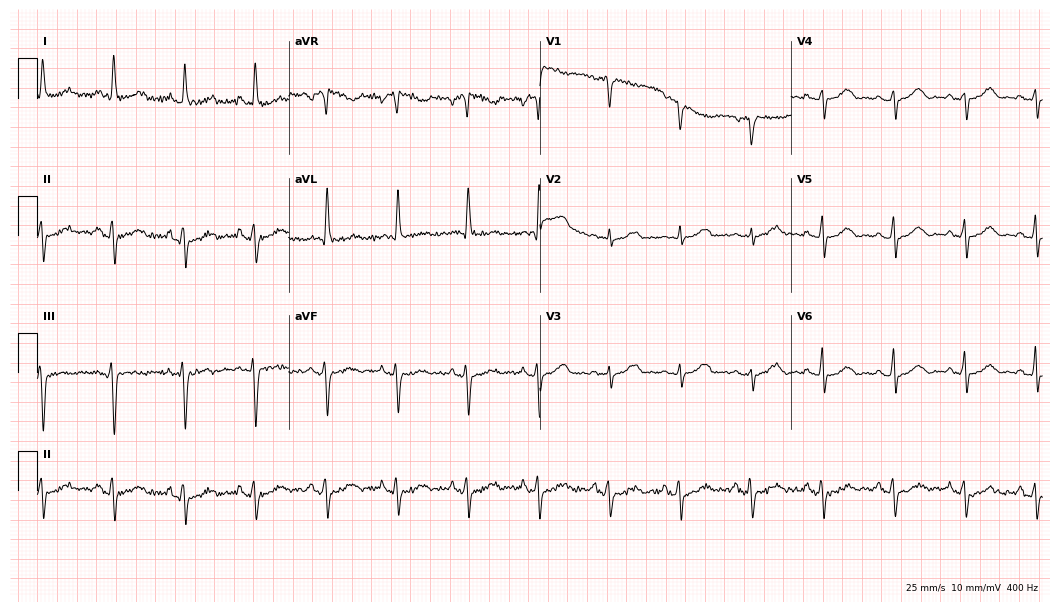
Standard 12-lead ECG recorded from a woman, 65 years old (10.2-second recording at 400 Hz). None of these six findings is recorded: first-degree AV block, right bundle branch block, left bundle branch block, sinus bradycardia, atrial fibrillation, sinus tachycardia.